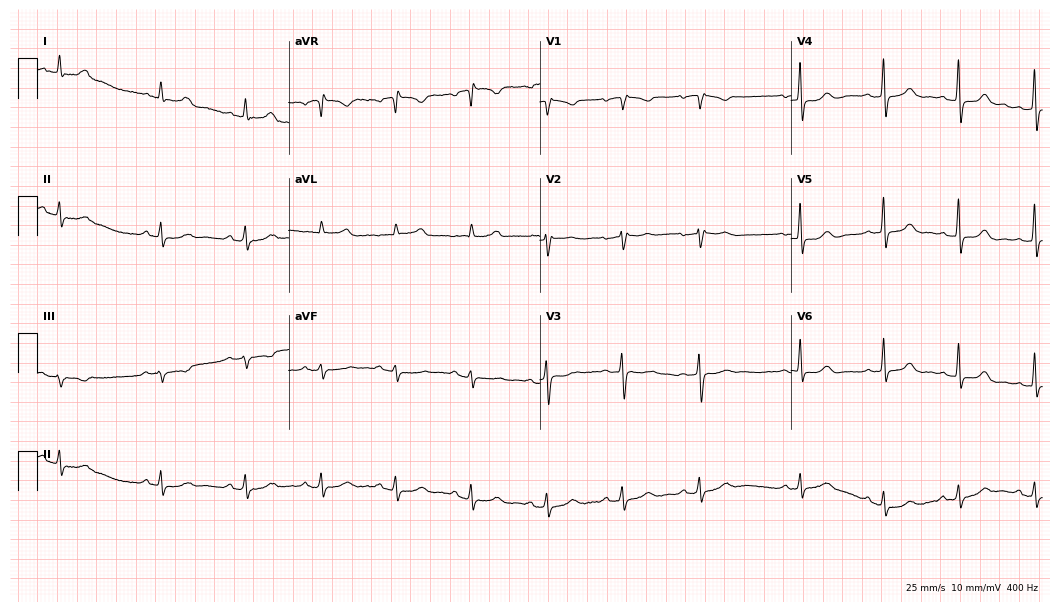
12-lead ECG from a 58-year-old woman. Labelled as a normal ECG.